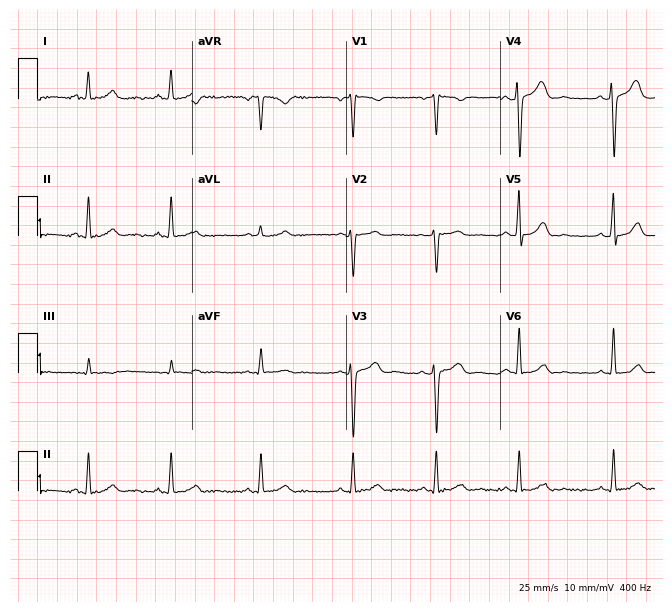
Standard 12-lead ECG recorded from a female, 30 years old. None of these six findings is recorded: first-degree AV block, right bundle branch block, left bundle branch block, sinus bradycardia, atrial fibrillation, sinus tachycardia.